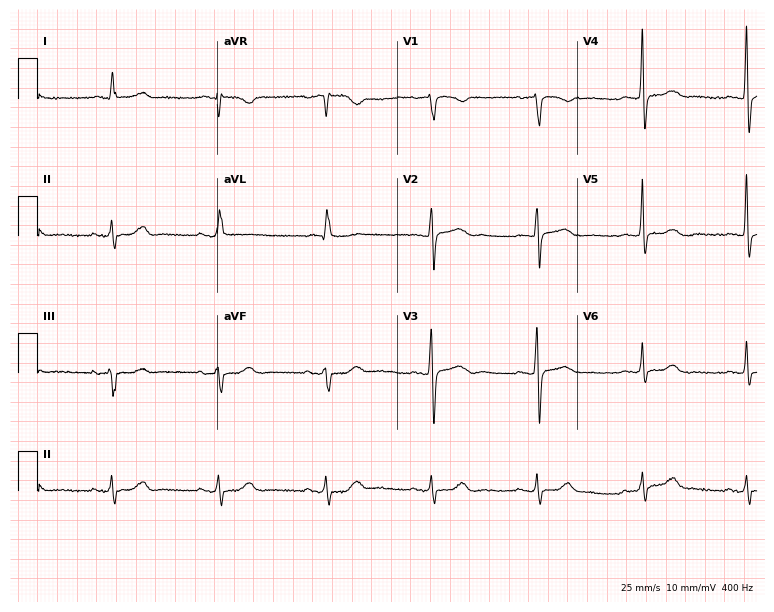
Resting 12-lead electrocardiogram (7.3-second recording at 400 Hz). Patient: a female, 74 years old. None of these six findings is recorded: first-degree AV block, right bundle branch block (RBBB), left bundle branch block (LBBB), sinus bradycardia, atrial fibrillation (AF), sinus tachycardia. Findings outside these six are not listed.